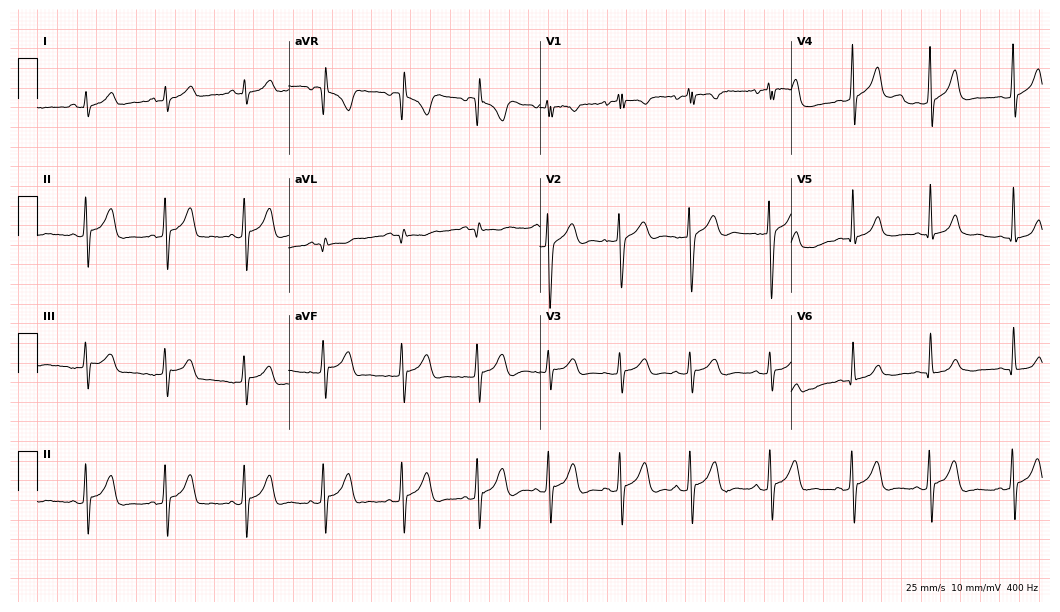
ECG — a male, 18 years old. Labelled as a normal ECG.